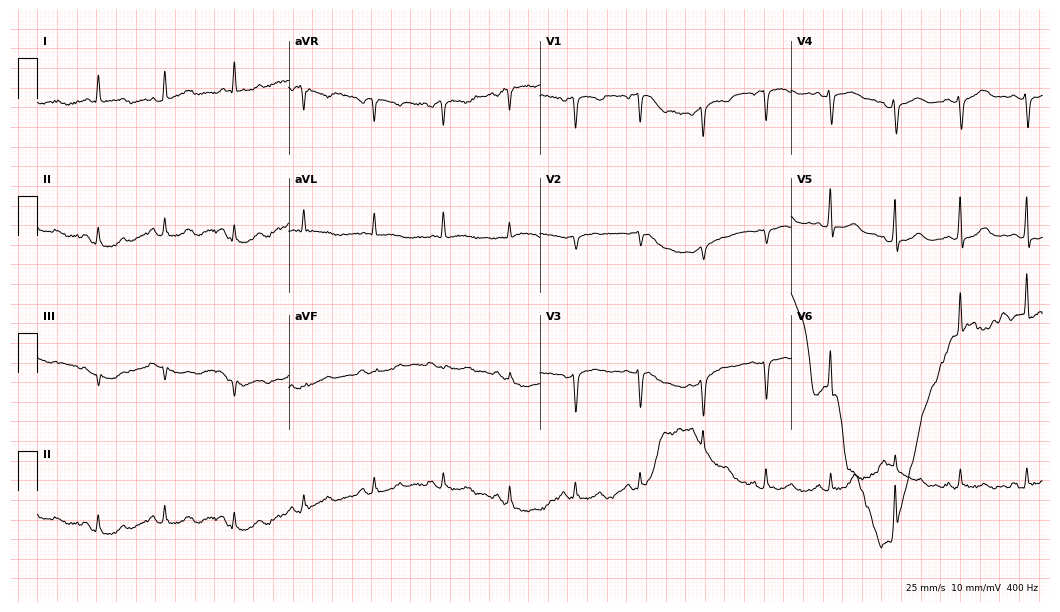
Standard 12-lead ECG recorded from a 56-year-old female patient. None of these six findings is recorded: first-degree AV block, right bundle branch block, left bundle branch block, sinus bradycardia, atrial fibrillation, sinus tachycardia. Only these six findings were labelled.